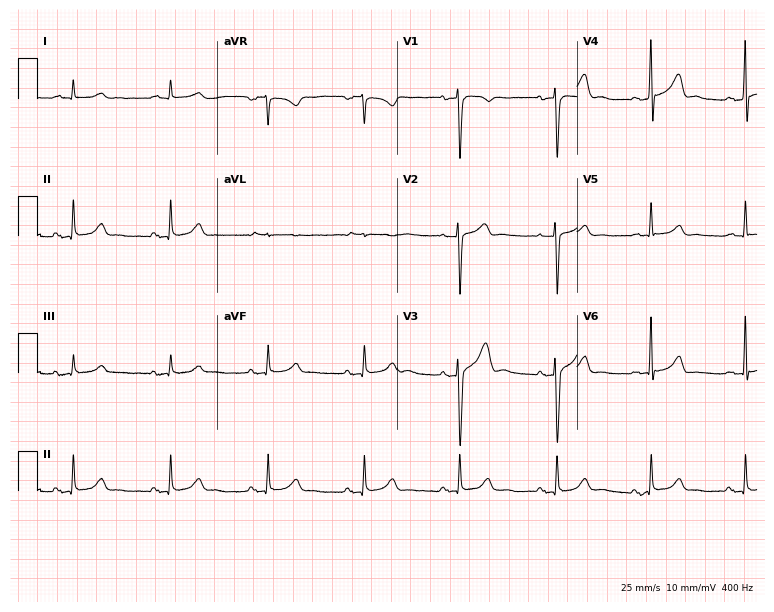
ECG (7.3-second recording at 400 Hz) — a 57-year-old male. Screened for six findings — first-degree AV block, right bundle branch block, left bundle branch block, sinus bradycardia, atrial fibrillation, sinus tachycardia — none is recorded. Only these six findings were labelled.